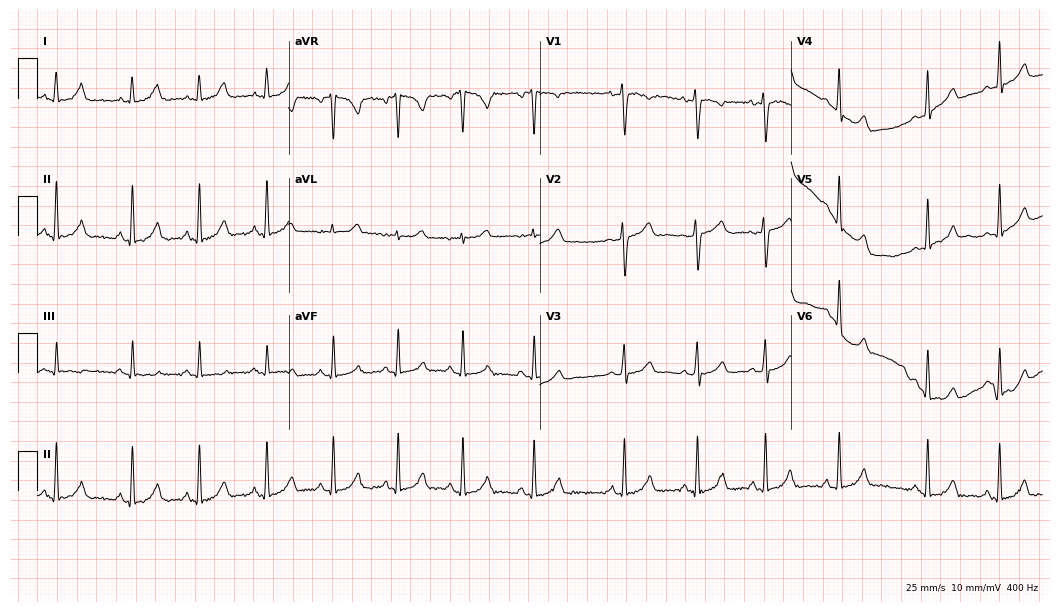
12-lead ECG (10.2-second recording at 400 Hz) from a 19-year-old female patient. Labelled as a normal ECG.